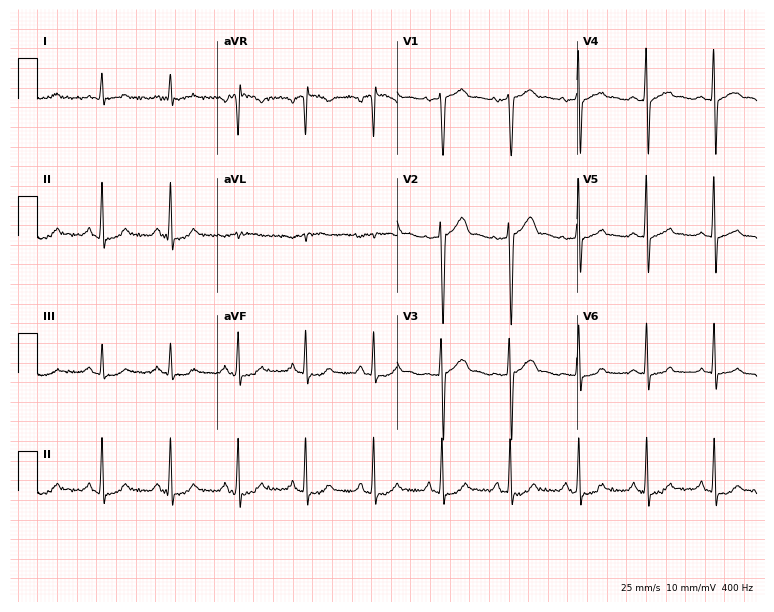
Resting 12-lead electrocardiogram. Patient: a man, 49 years old. None of these six findings is recorded: first-degree AV block, right bundle branch block, left bundle branch block, sinus bradycardia, atrial fibrillation, sinus tachycardia. Other findings, if any, are not listed.